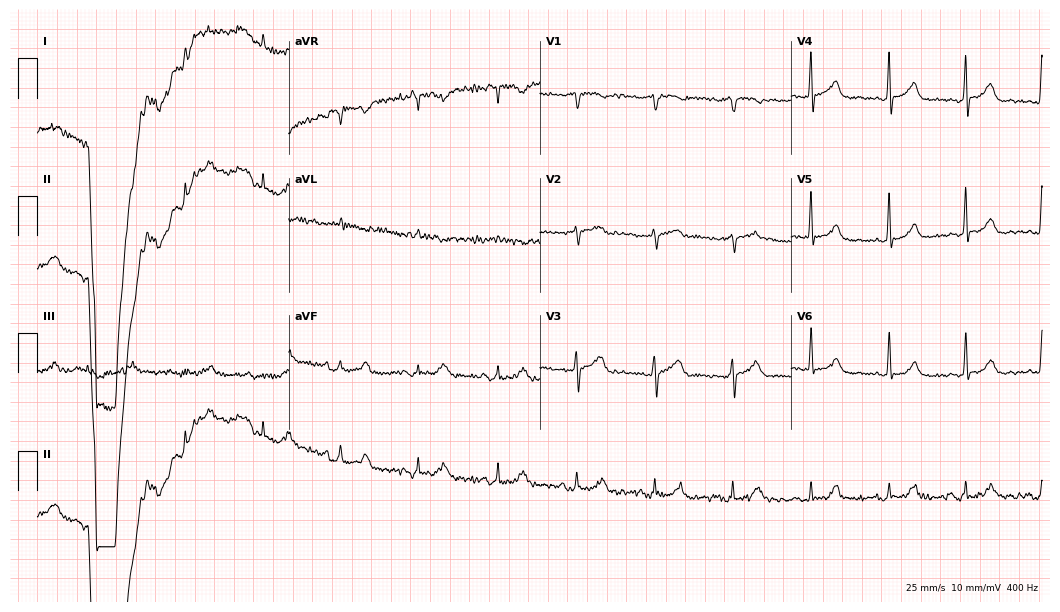
Resting 12-lead electrocardiogram. Patient: a male, 71 years old. None of these six findings is recorded: first-degree AV block, right bundle branch block, left bundle branch block, sinus bradycardia, atrial fibrillation, sinus tachycardia. Only these six findings were labelled.